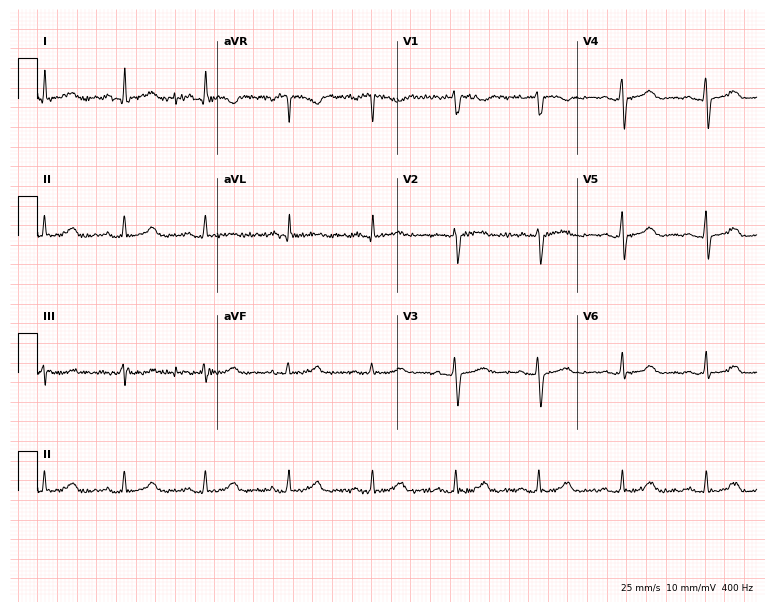
12-lead ECG from a woman, 58 years old. Labelled as a normal ECG.